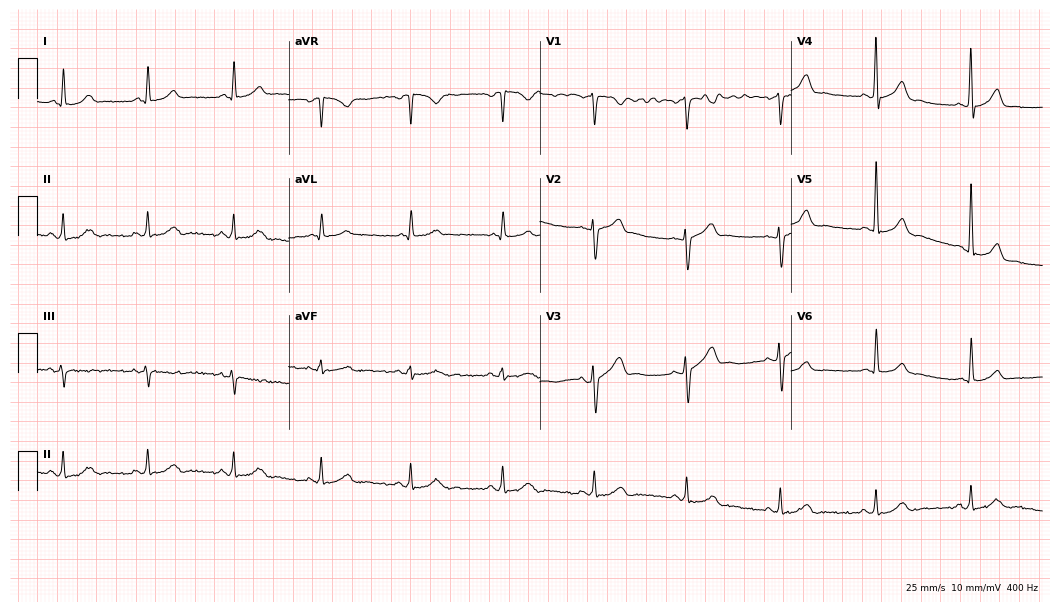
ECG — a man, 59 years old. Screened for six findings — first-degree AV block, right bundle branch block (RBBB), left bundle branch block (LBBB), sinus bradycardia, atrial fibrillation (AF), sinus tachycardia — none is recorded.